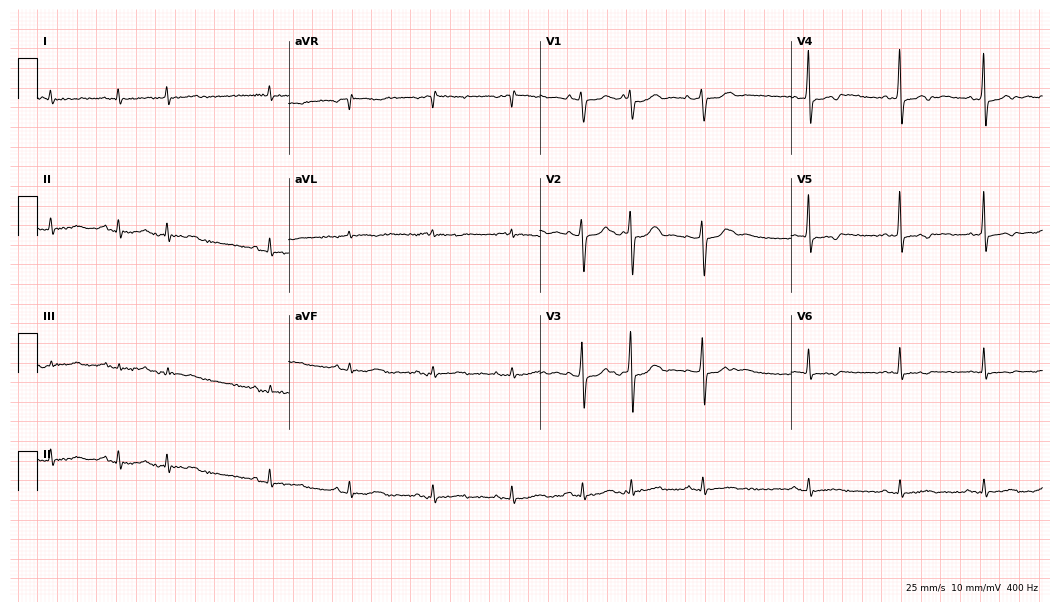
Electrocardiogram (10.2-second recording at 400 Hz), a 61-year-old male. Of the six screened findings (first-degree AV block, right bundle branch block, left bundle branch block, sinus bradycardia, atrial fibrillation, sinus tachycardia), none is recorded. Findings outside these six are not listed.